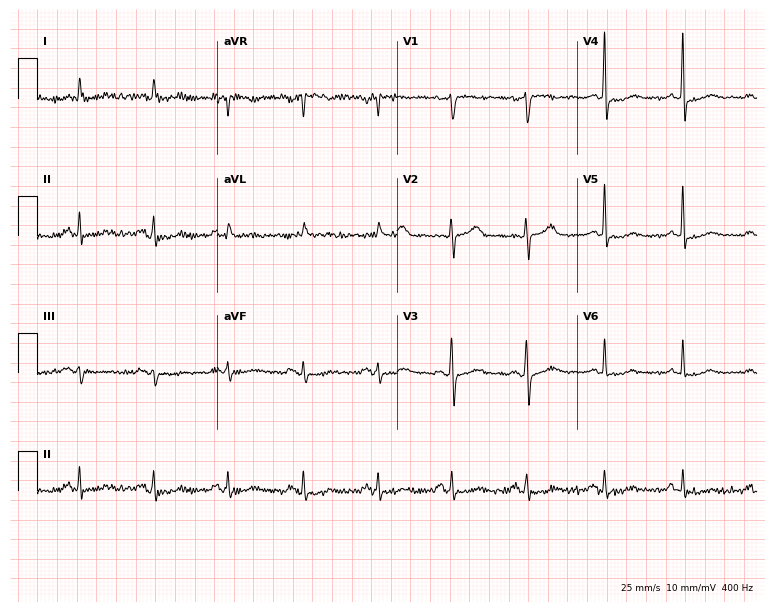
ECG — a female, 50 years old. Screened for six findings — first-degree AV block, right bundle branch block, left bundle branch block, sinus bradycardia, atrial fibrillation, sinus tachycardia — none is recorded. Other findings, if any, are not listed.